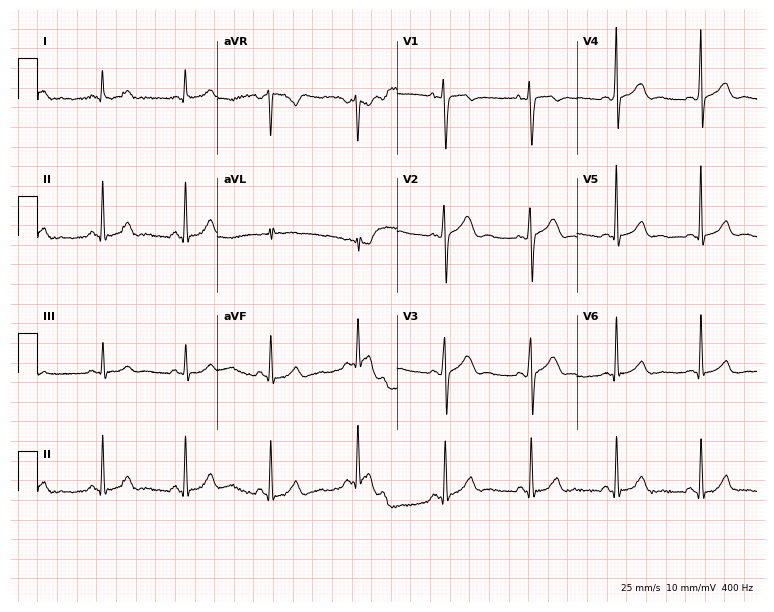
Standard 12-lead ECG recorded from a male patient, 34 years old. None of these six findings is recorded: first-degree AV block, right bundle branch block (RBBB), left bundle branch block (LBBB), sinus bradycardia, atrial fibrillation (AF), sinus tachycardia. Findings outside these six are not listed.